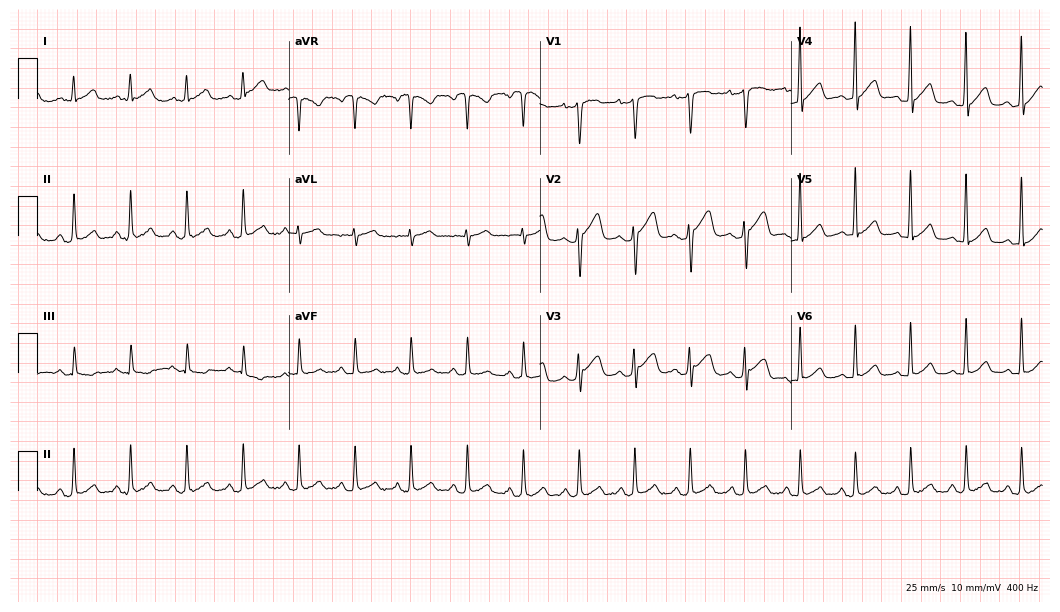
Electrocardiogram (10.2-second recording at 400 Hz), a male patient, 24 years old. Interpretation includes sinus tachycardia (a sinus rate of 100 beats per minute or more).